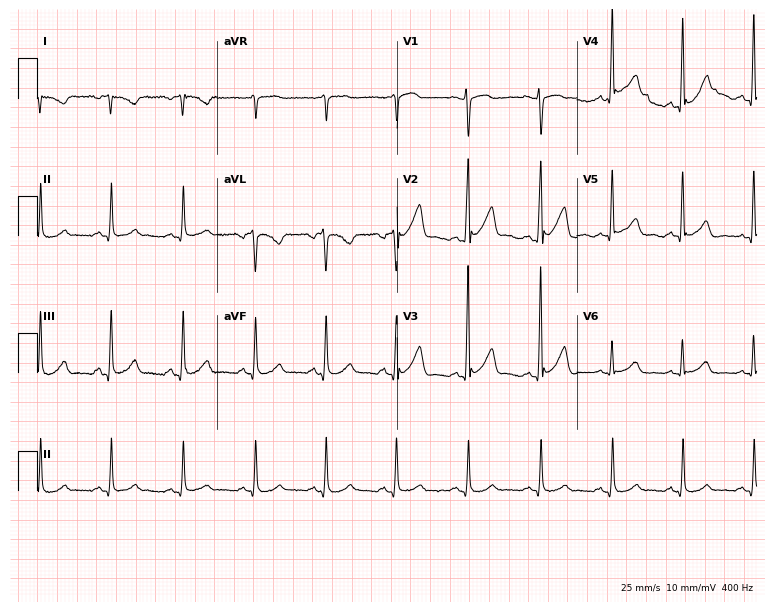
12-lead ECG from a 43-year-old male. No first-degree AV block, right bundle branch block, left bundle branch block, sinus bradycardia, atrial fibrillation or sinus tachycardia recorded for this tracing. Findings outside these six are not listed.